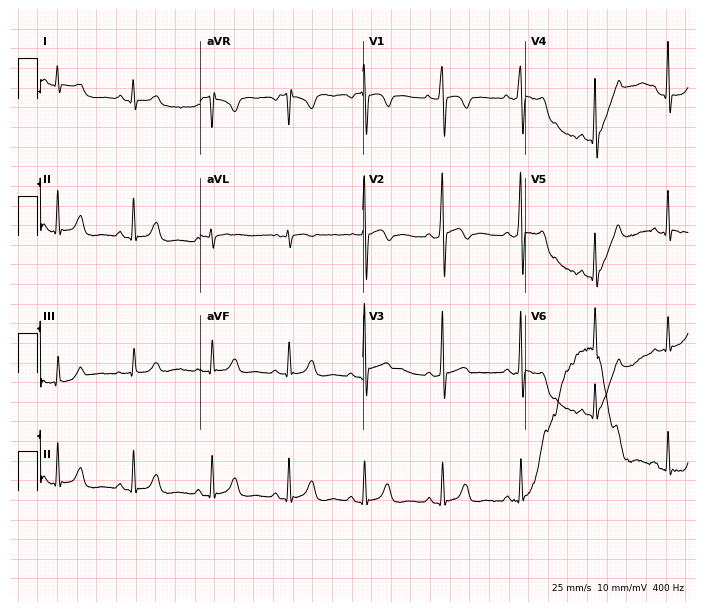
ECG — a 23-year-old male patient. Screened for six findings — first-degree AV block, right bundle branch block (RBBB), left bundle branch block (LBBB), sinus bradycardia, atrial fibrillation (AF), sinus tachycardia — none is recorded.